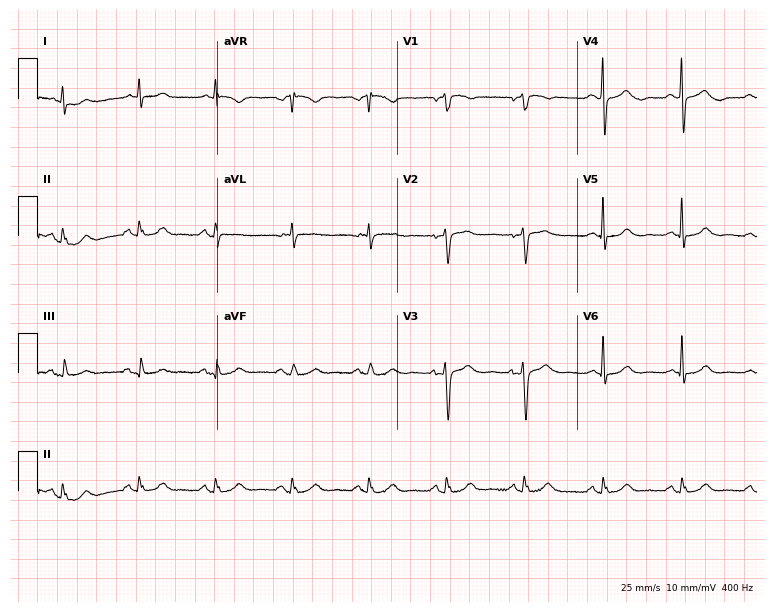
Resting 12-lead electrocardiogram. Patient: a 66-year-old female. Read as a normal ECG.